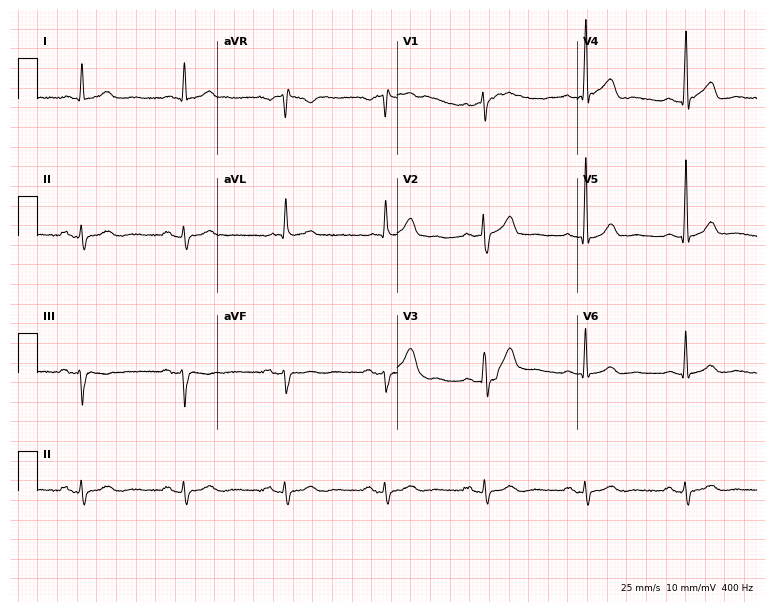
ECG (7.3-second recording at 400 Hz) — a male, 85 years old. Screened for six findings — first-degree AV block, right bundle branch block, left bundle branch block, sinus bradycardia, atrial fibrillation, sinus tachycardia — none is recorded.